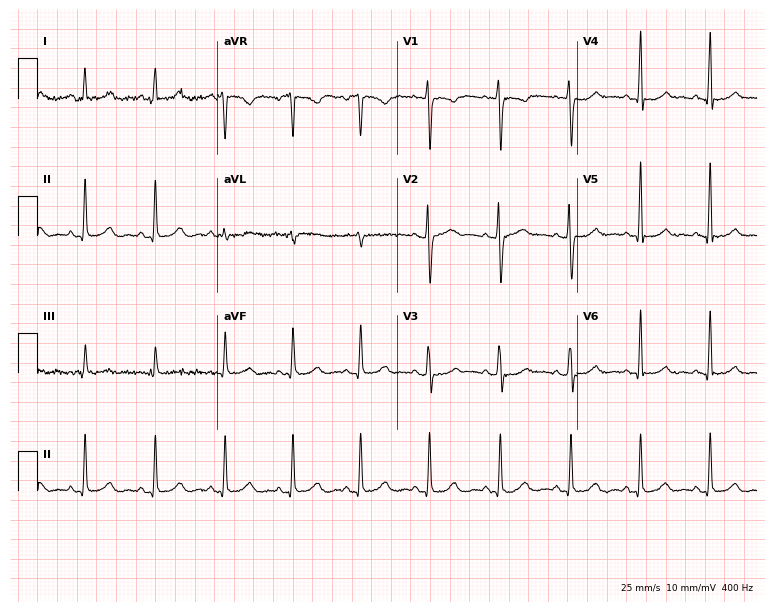
12-lead ECG from a woman, 41 years old. Recorded interpretation: within normal limits.